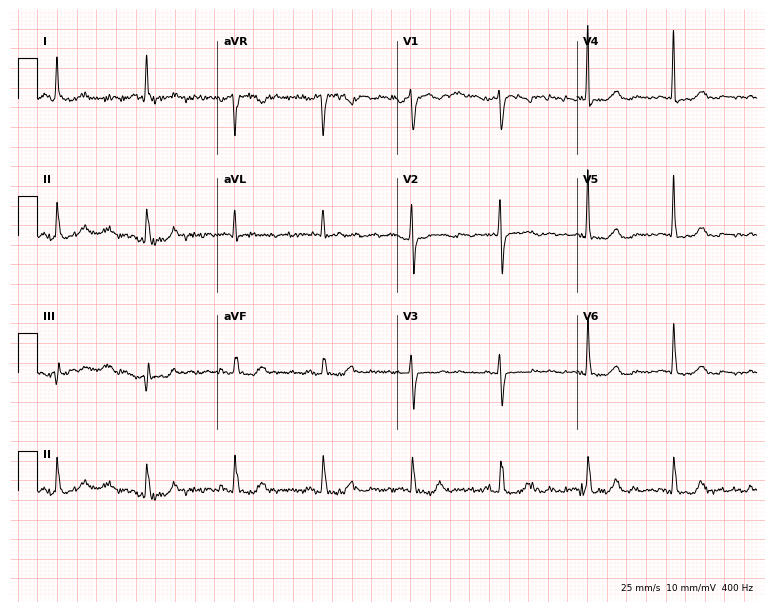
12-lead ECG from a female, 78 years old. No first-degree AV block, right bundle branch block (RBBB), left bundle branch block (LBBB), sinus bradycardia, atrial fibrillation (AF) or sinus tachycardia recorded for this tracing.